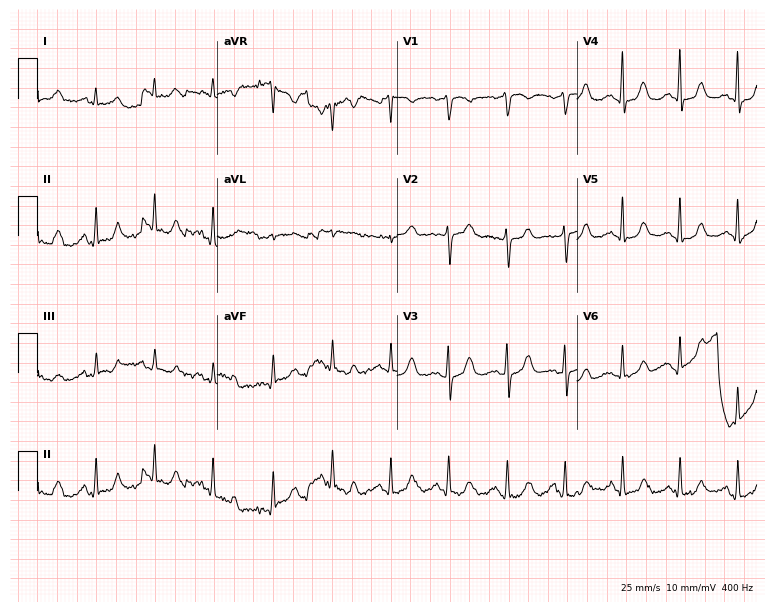
ECG — a female, 39 years old. Screened for six findings — first-degree AV block, right bundle branch block, left bundle branch block, sinus bradycardia, atrial fibrillation, sinus tachycardia — none is recorded. Other findings, if any, are not listed.